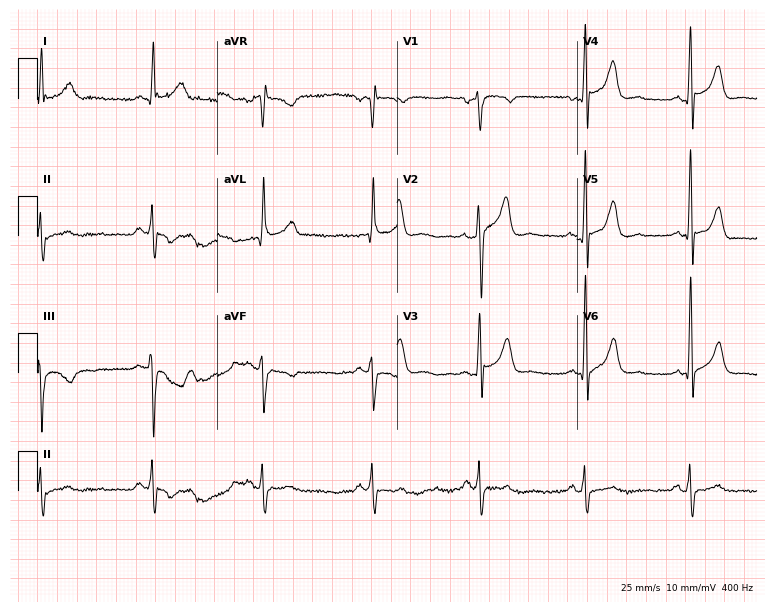
Standard 12-lead ECG recorded from a male, 68 years old. None of these six findings is recorded: first-degree AV block, right bundle branch block, left bundle branch block, sinus bradycardia, atrial fibrillation, sinus tachycardia.